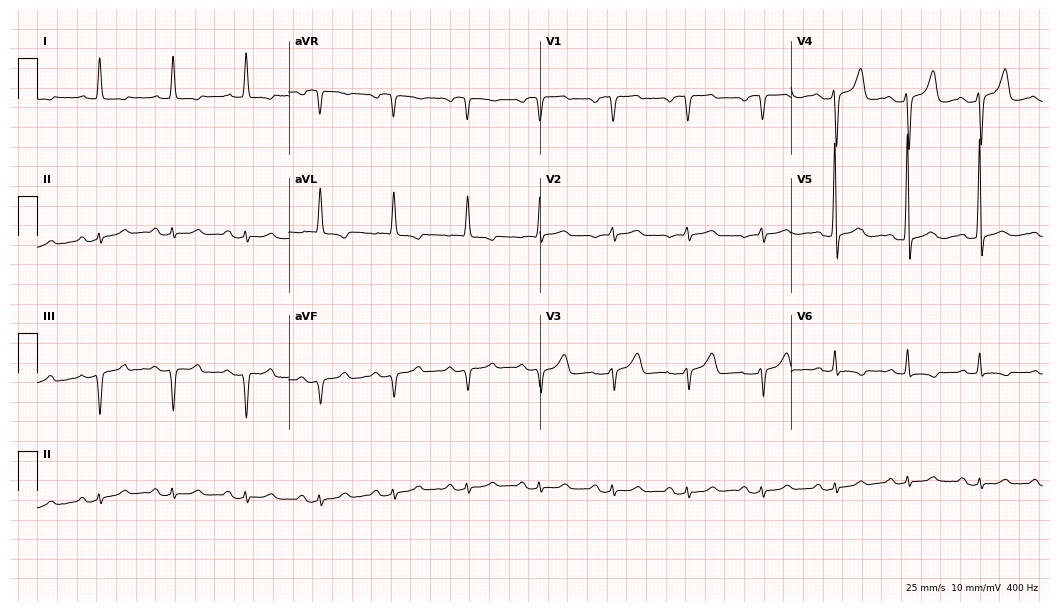
ECG — a woman, 63 years old. Screened for six findings — first-degree AV block, right bundle branch block, left bundle branch block, sinus bradycardia, atrial fibrillation, sinus tachycardia — none is recorded.